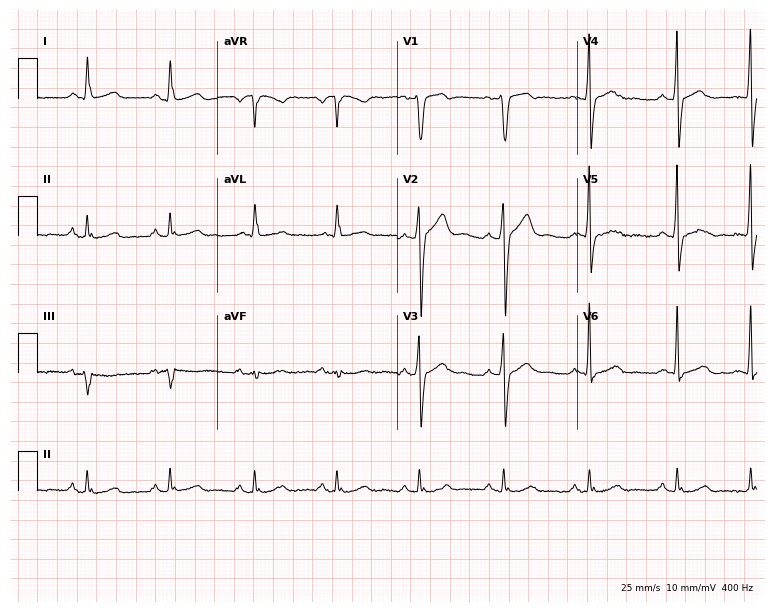
ECG — a 45-year-old male patient. Screened for six findings — first-degree AV block, right bundle branch block (RBBB), left bundle branch block (LBBB), sinus bradycardia, atrial fibrillation (AF), sinus tachycardia — none is recorded. Only these six findings were labelled.